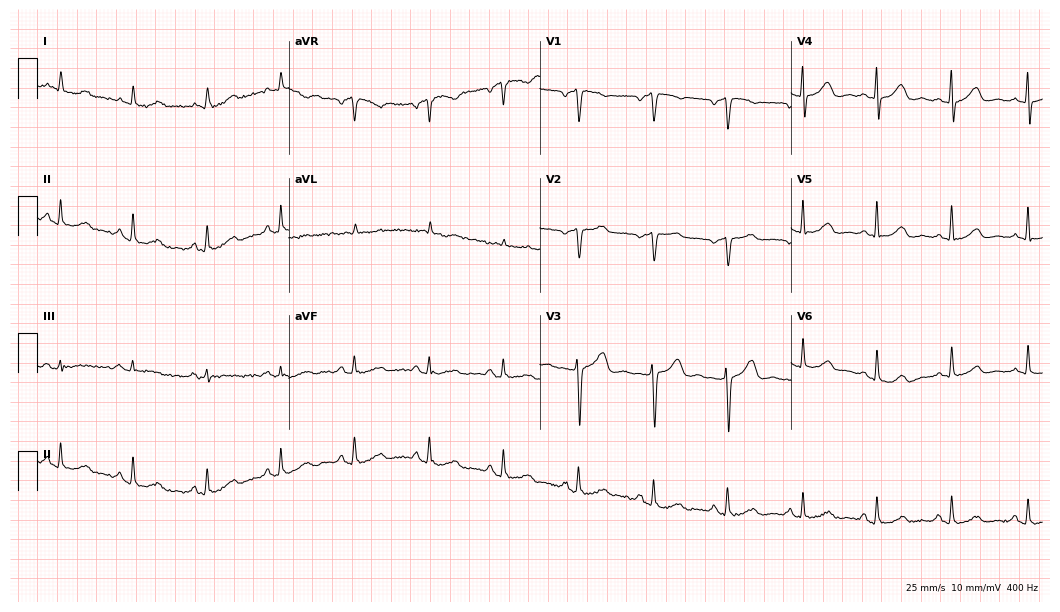
12-lead ECG (10.2-second recording at 400 Hz) from a female, 62 years old. Labelled as a normal ECG.